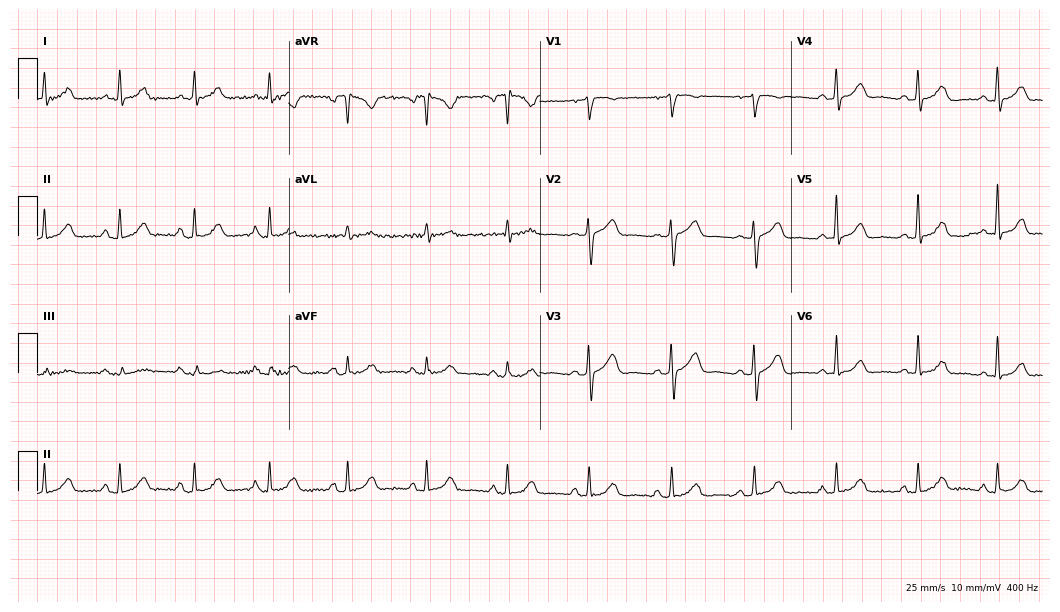
12-lead ECG from a male, 68 years old (10.2-second recording at 400 Hz). Recorded interpretation: within normal limits.